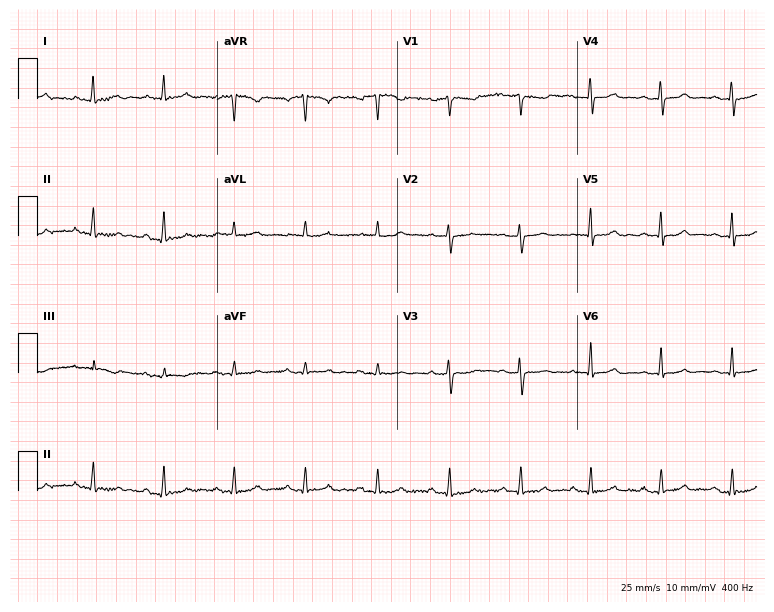
ECG (7.3-second recording at 400 Hz) — a 65-year-old female. Screened for six findings — first-degree AV block, right bundle branch block (RBBB), left bundle branch block (LBBB), sinus bradycardia, atrial fibrillation (AF), sinus tachycardia — none is recorded.